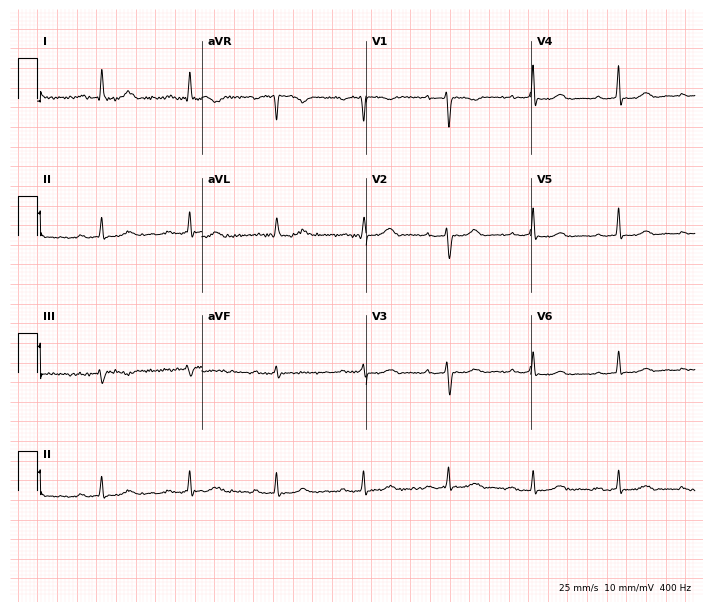
Electrocardiogram, a female patient, 48 years old. Overall reading on record: normal ECG.